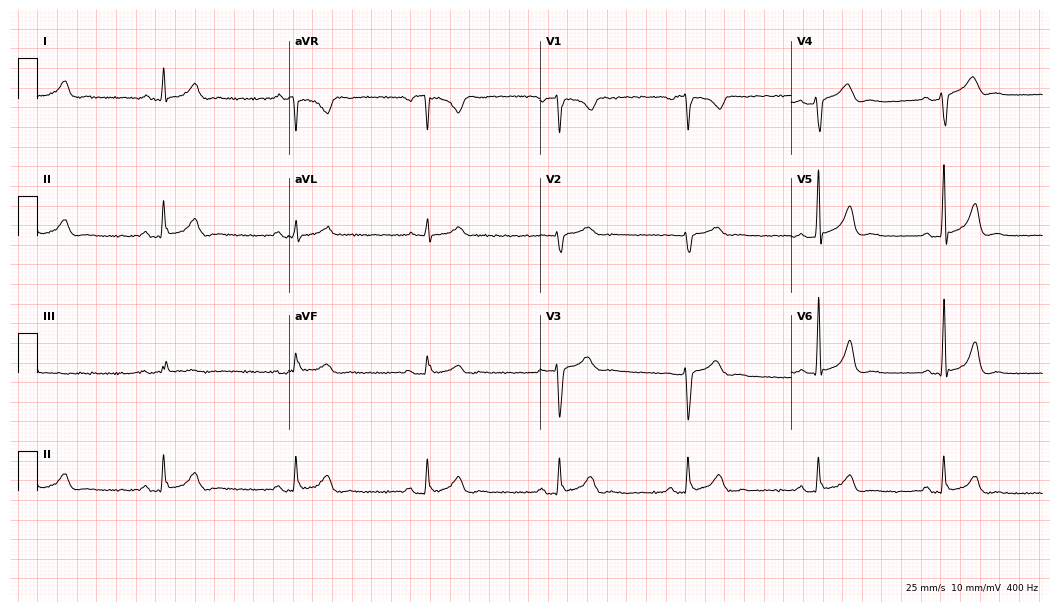
Electrocardiogram (10.2-second recording at 400 Hz), a female patient, 46 years old. Interpretation includes sinus bradycardia (a sinus rate of 50 beats per minute or less).